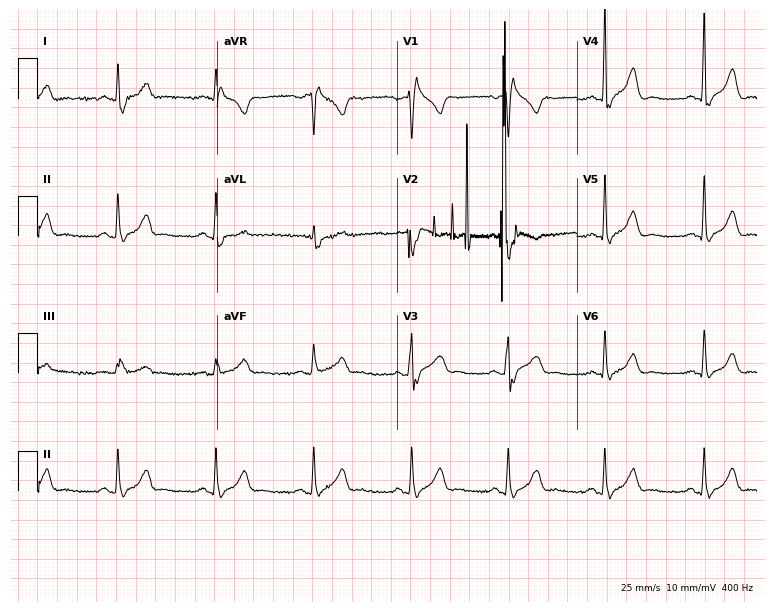
ECG — a 51-year-old male. Findings include right bundle branch block (RBBB).